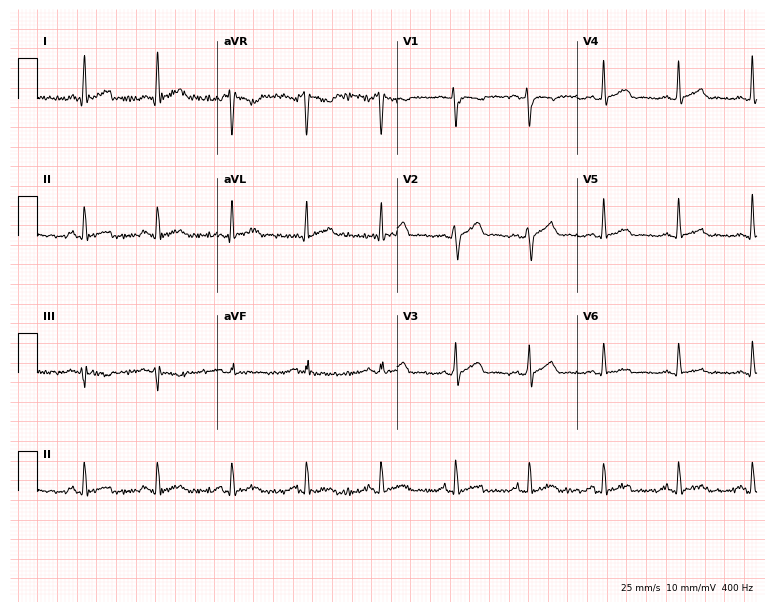
ECG — a male, 48 years old. Labelled as a normal ECG.